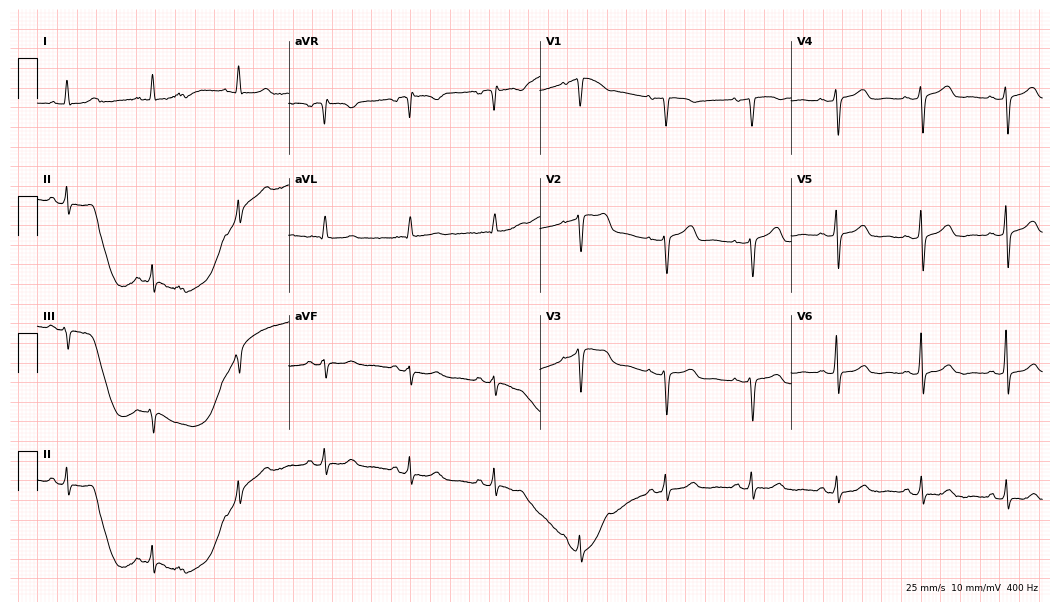
12-lead ECG from a female patient, 84 years old. Screened for six findings — first-degree AV block, right bundle branch block (RBBB), left bundle branch block (LBBB), sinus bradycardia, atrial fibrillation (AF), sinus tachycardia — none is recorded.